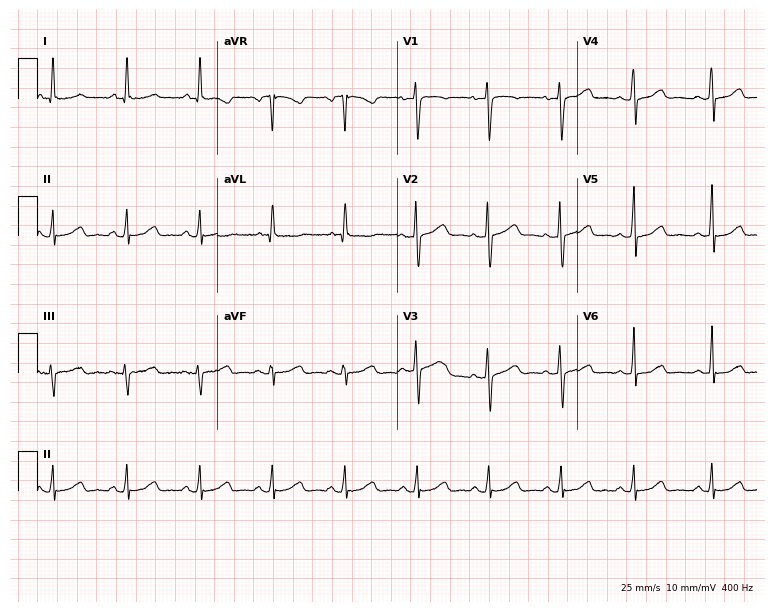
Electrocardiogram, a woman, 46 years old. Overall reading on record: normal ECG.